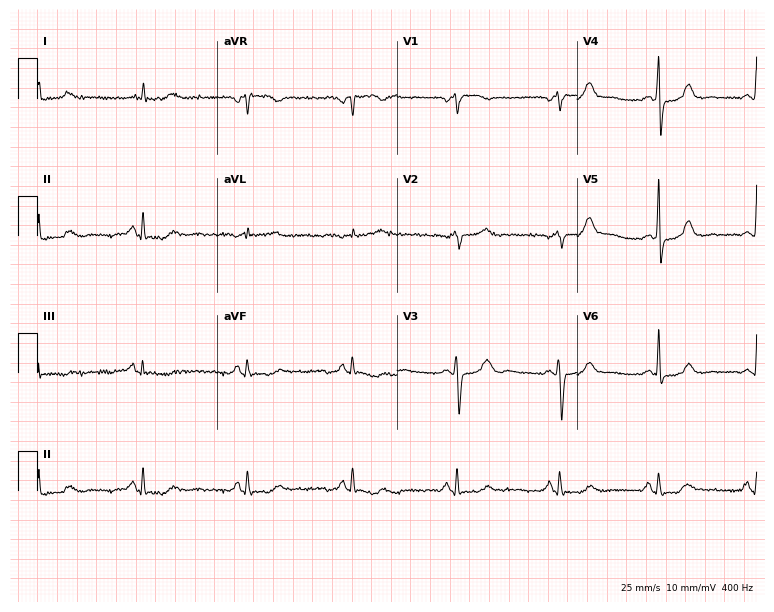
ECG (7.3-second recording at 400 Hz) — a female, 78 years old. Labelled as a normal ECG.